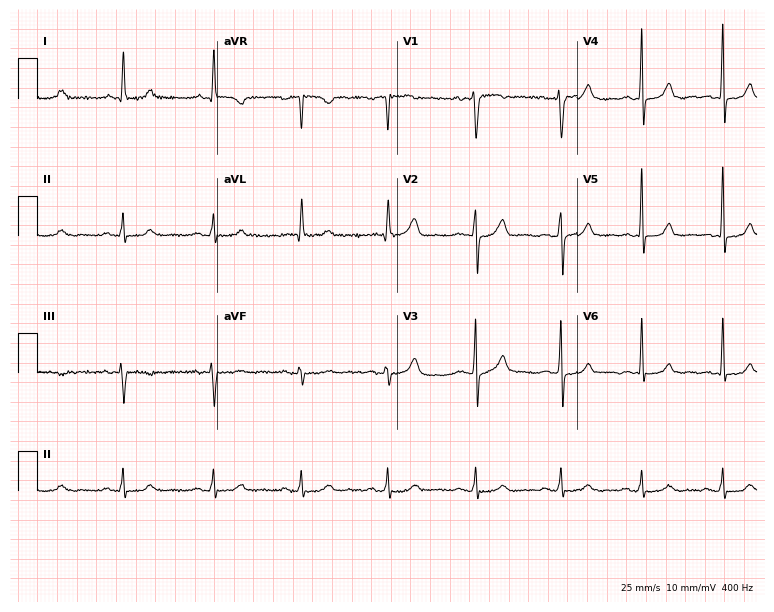
Electrocardiogram, a 54-year-old woman. Of the six screened findings (first-degree AV block, right bundle branch block (RBBB), left bundle branch block (LBBB), sinus bradycardia, atrial fibrillation (AF), sinus tachycardia), none is recorded.